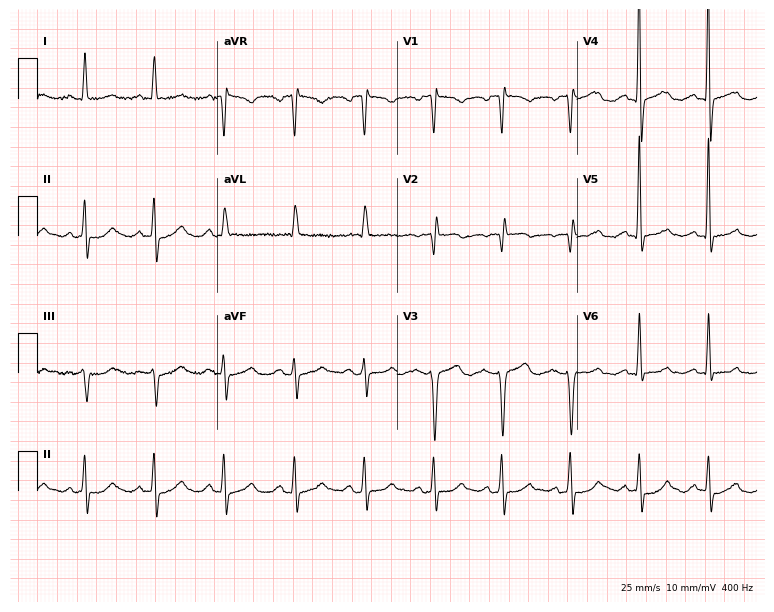
ECG — a female patient, 82 years old. Screened for six findings — first-degree AV block, right bundle branch block, left bundle branch block, sinus bradycardia, atrial fibrillation, sinus tachycardia — none is recorded.